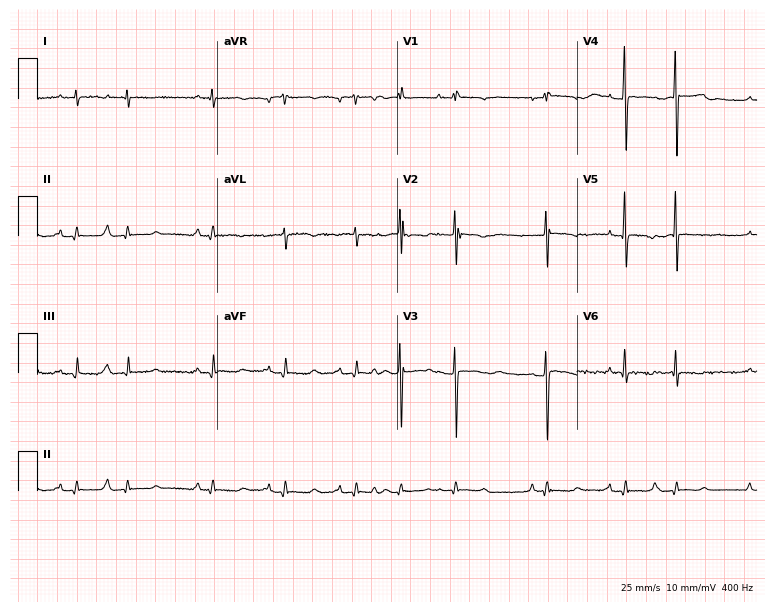
ECG — a male patient, 73 years old. Screened for six findings — first-degree AV block, right bundle branch block (RBBB), left bundle branch block (LBBB), sinus bradycardia, atrial fibrillation (AF), sinus tachycardia — none is recorded. Only these six findings were labelled.